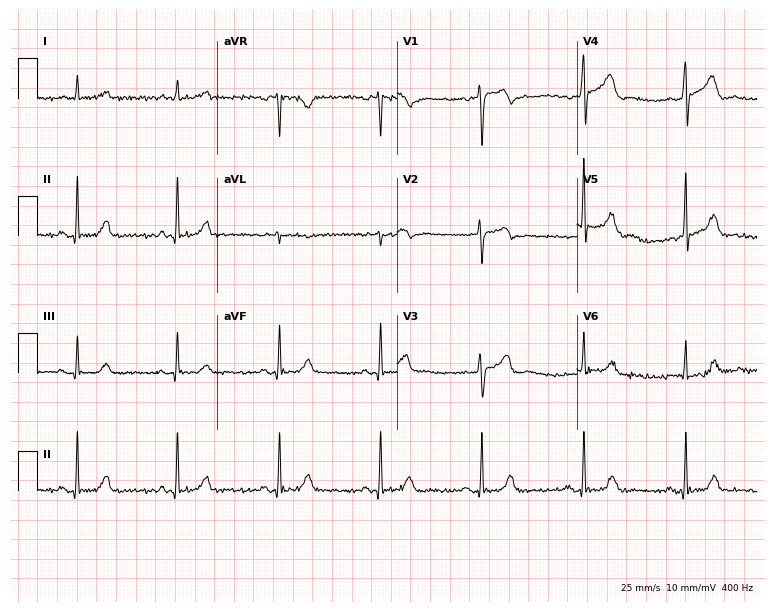
12-lead ECG from a man, 49 years old. Screened for six findings — first-degree AV block, right bundle branch block (RBBB), left bundle branch block (LBBB), sinus bradycardia, atrial fibrillation (AF), sinus tachycardia — none is recorded.